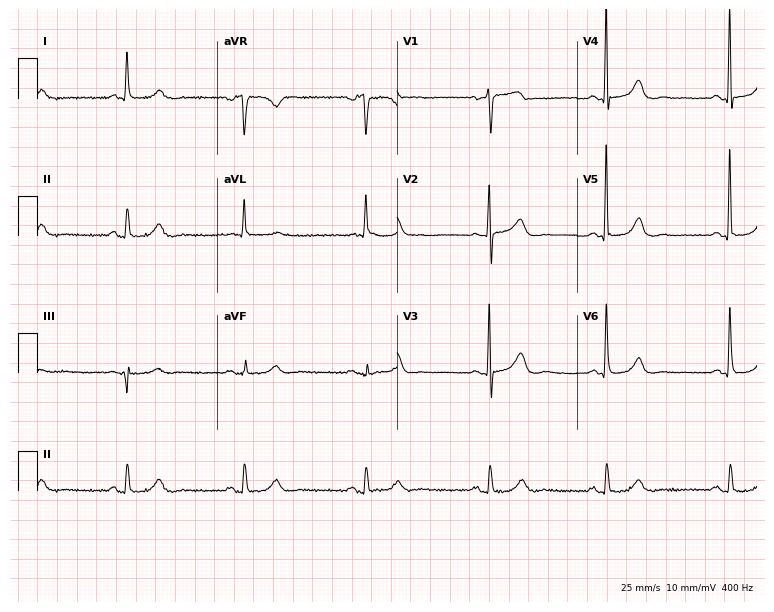
Resting 12-lead electrocardiogram. Patient: a female, 81 years old. The tracing shows sinus bradycardia (a sinus rate of 50 beats per minute or less).